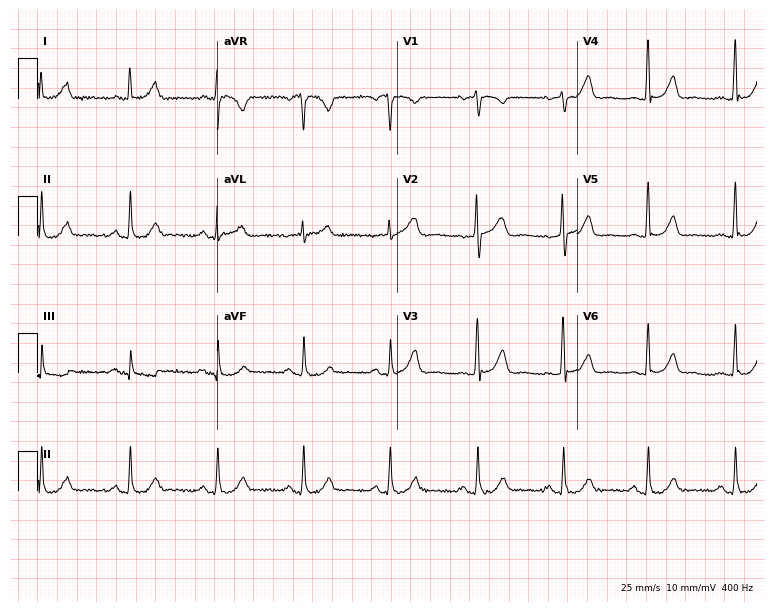
Standard 12-lead ECG recorded from a woman, 65 years old. Read as a normal ECG.